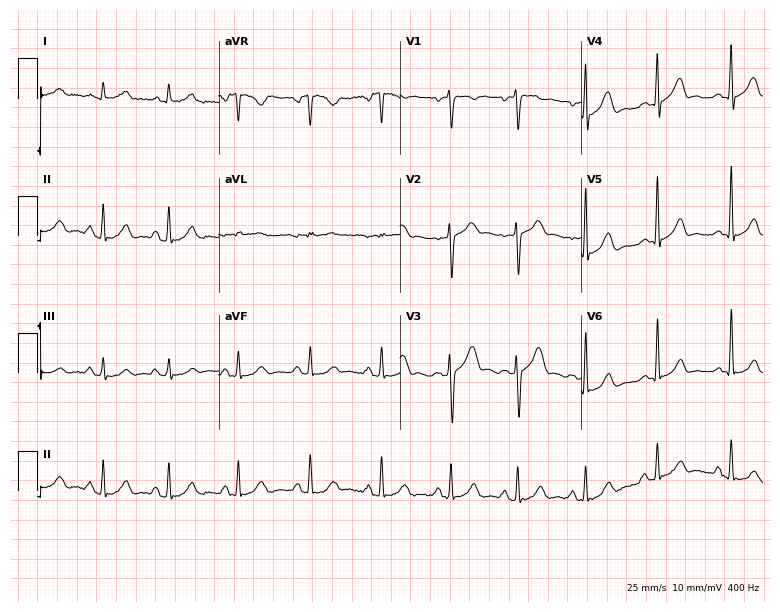
ECG (7.4-second recording at 400 Hz) — a male, 27 years old. Labelled as a normal ECG.